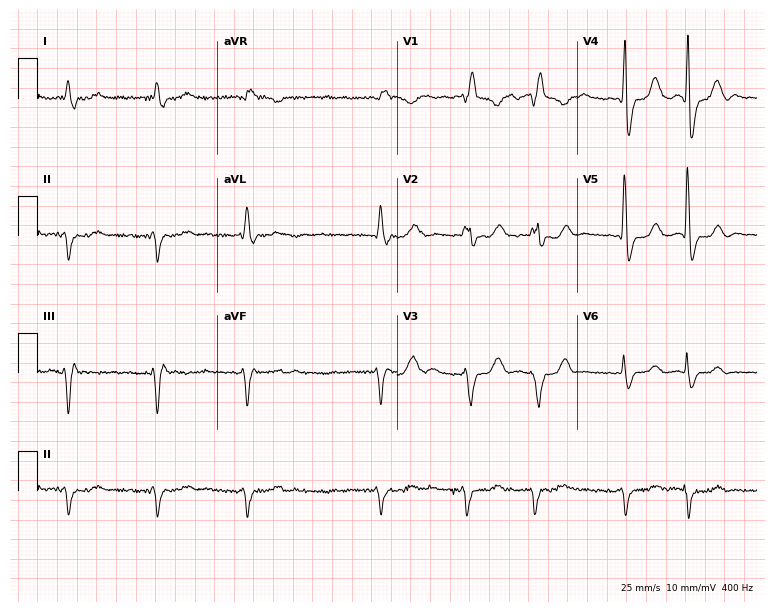
12-lead ECG (7.3-second recording at 400 Hz) from a 68-year-old man. Findings include right bundle branch block, atrial fibrillation.